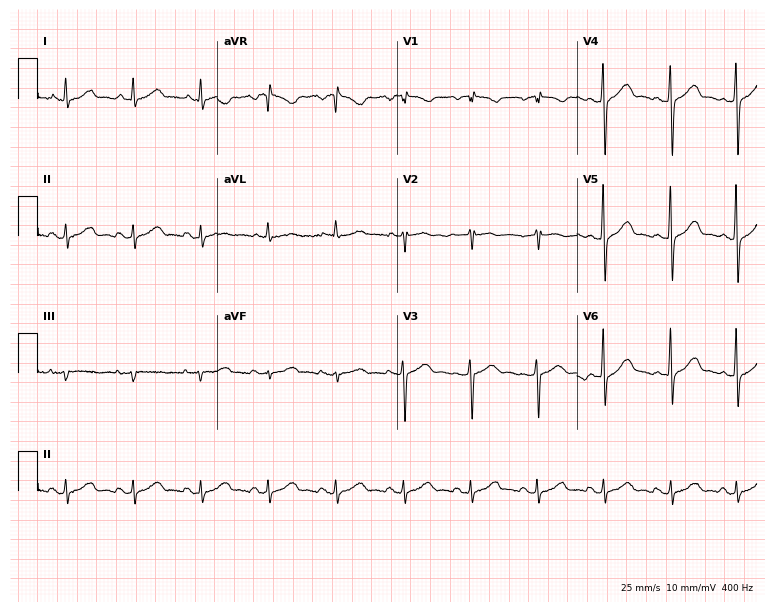
ECG — a 74-year-old female patient. Screened for six findings — first-degree AV block, right bundle branch block, left bundle branch block, sinus bradycardia, atrial fibrillation, sinus tachycardia — none is recorded. Findings outside these six are not listed.